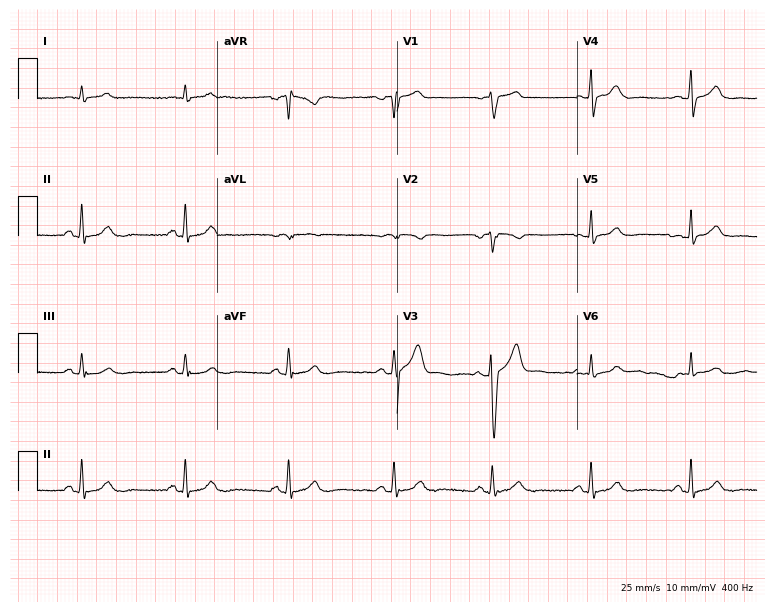
Resting 12-lead electrocardiogram (7.3-second recording at 400 Hz). Patient: a man, 50 years old. Read as a normal ECG.